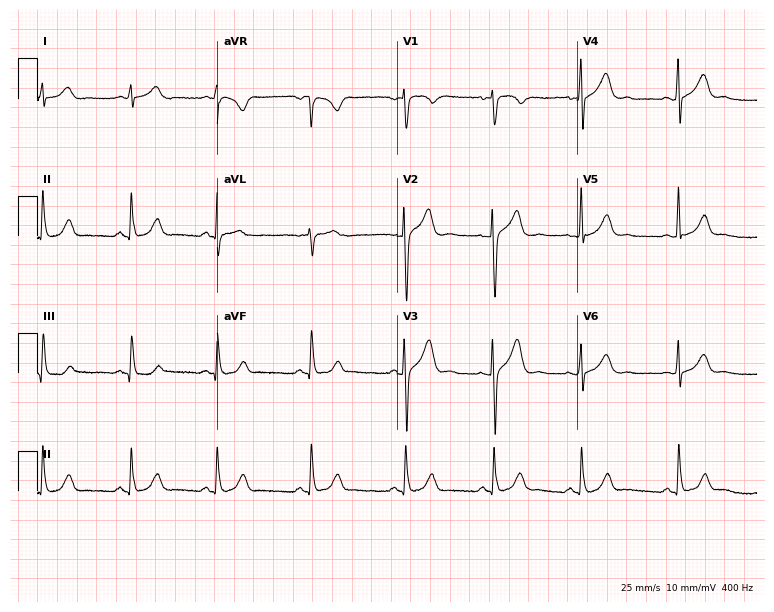
ECG (7.3-second recording at 400 Hz) — a 28-year-old male patient. Labelled as a normal ECG.